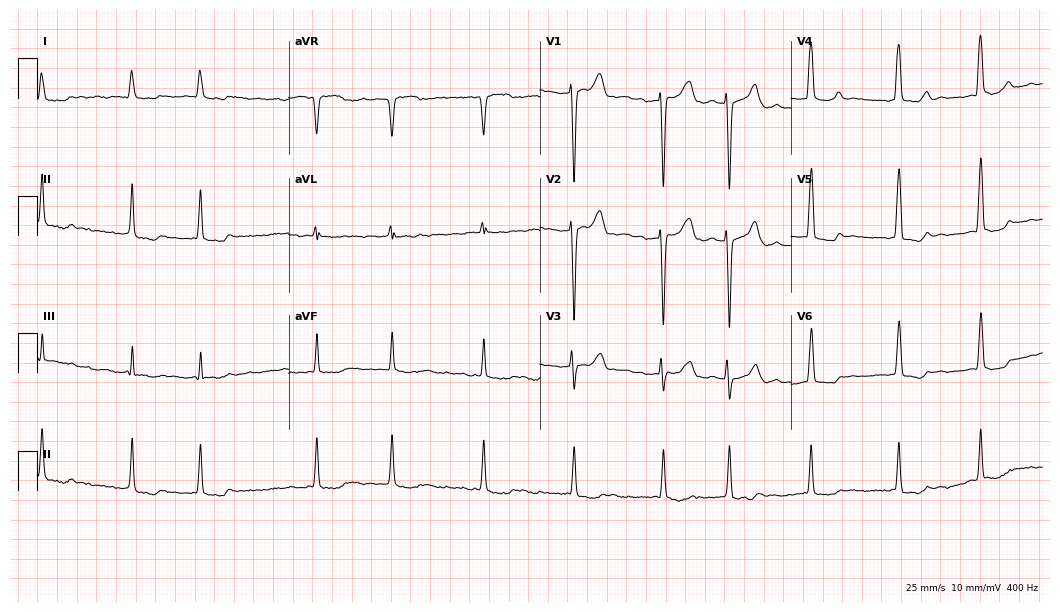
Standard 12-lead ECG recorded from a 76-year-old male patient (10.2-second recording at 400 Hz). The tracing shows atrial fibrillation.